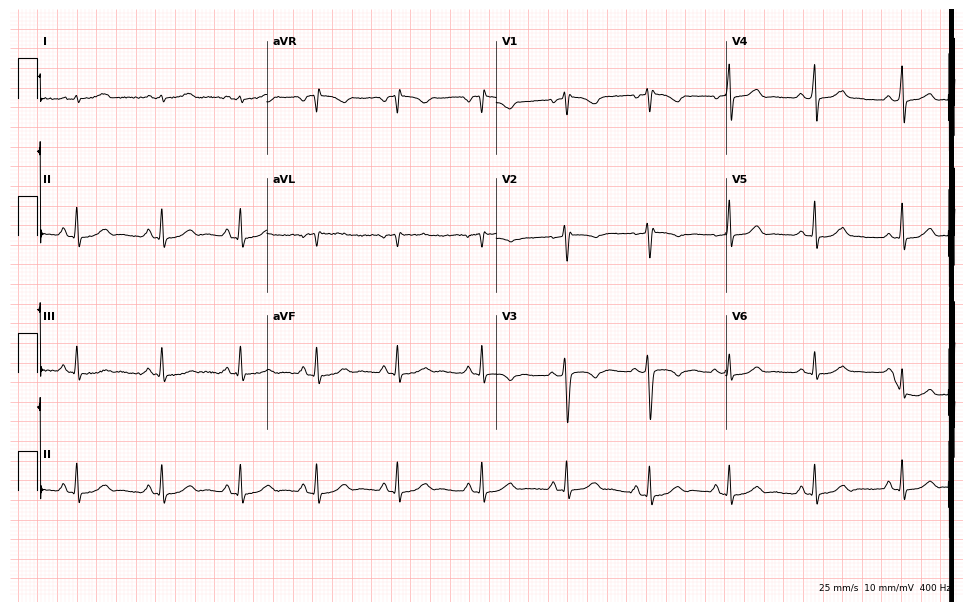
12-lead ECG (9.4-second recording at 400 Hz) from a 31-year-old woman. Screened for six findings — first-degree AV block, right bundle branch block, left bundle branch block, sinus bradycardia, atrial fibrillation, sinus tachycardia — none is recorded. Only these six findings were labelled.